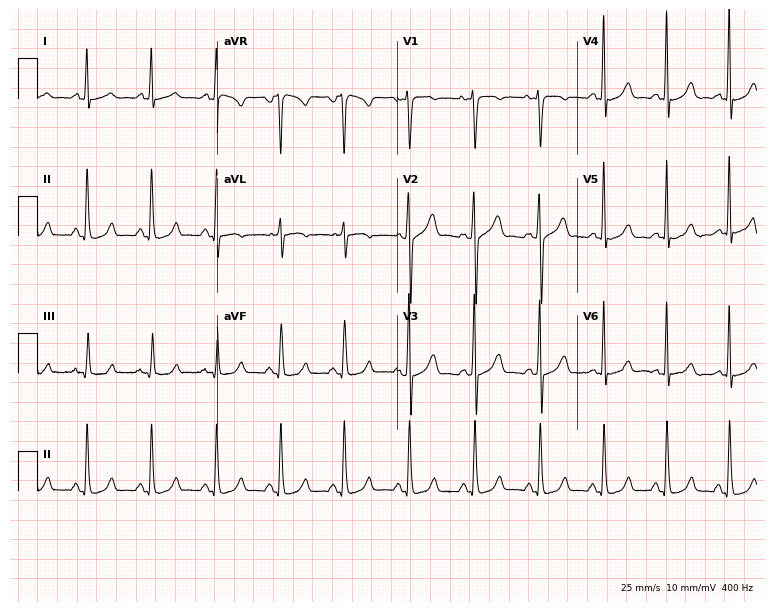
12-lead ECG from a woman, 29 years old. Recorded interpretation: within normal limits.